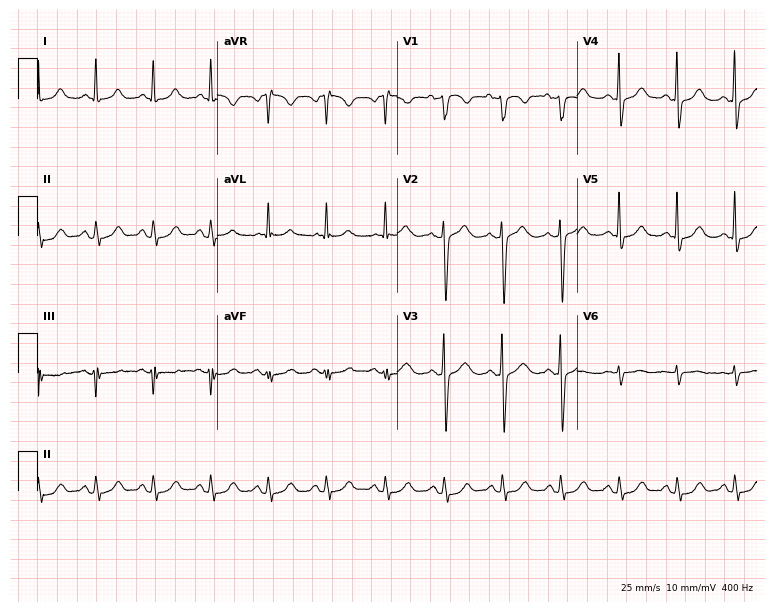
ECG — a 56-year-old female patient. Findings include sinus tachycardia (a sinus rate of 100 beats per minute or more).